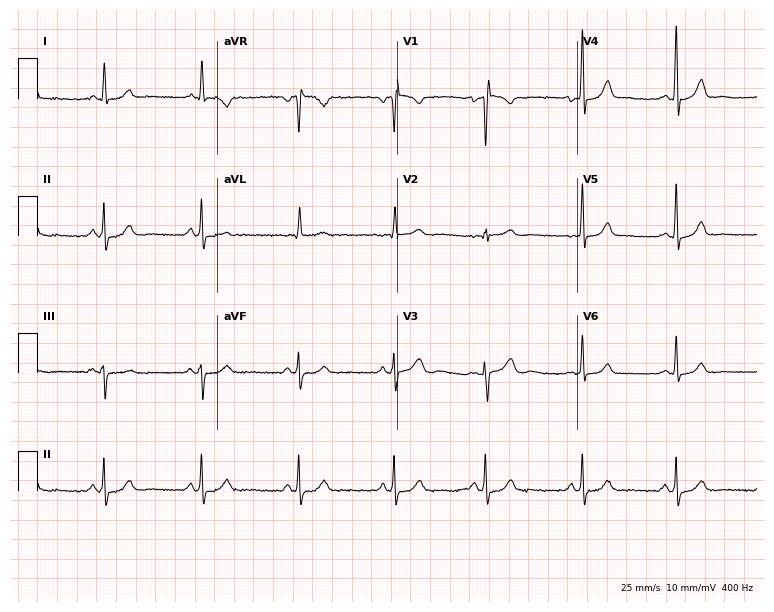
Electrocardiogram, a woman, 37 years old. Overall reading on record: normal ECG.